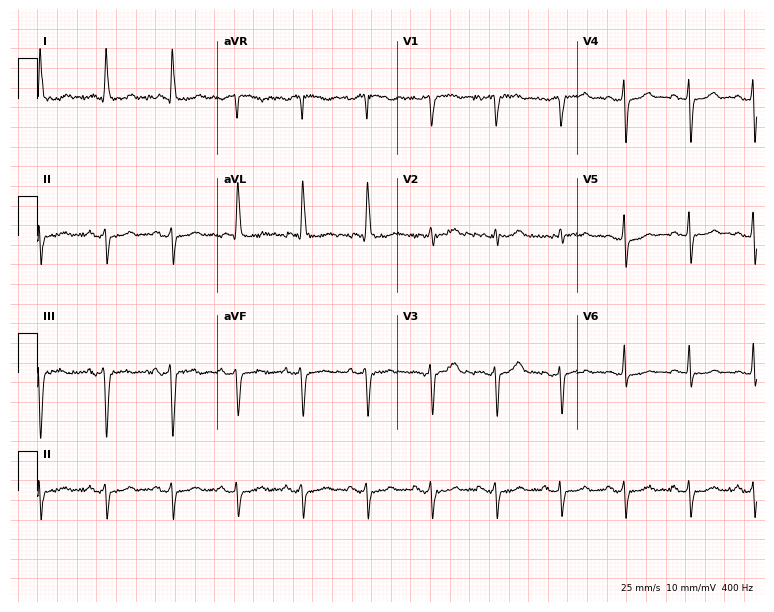
Resting 12-lead electrocardiogram (7.3-second recording at 400 Hz). Patient: a 64-year-old woman. None of these six findings is recorded: first-degree AV block, right bundle branch block, left bundle branch block, sinus bradycardia, atrial fibrillation, sinus tachycardia.